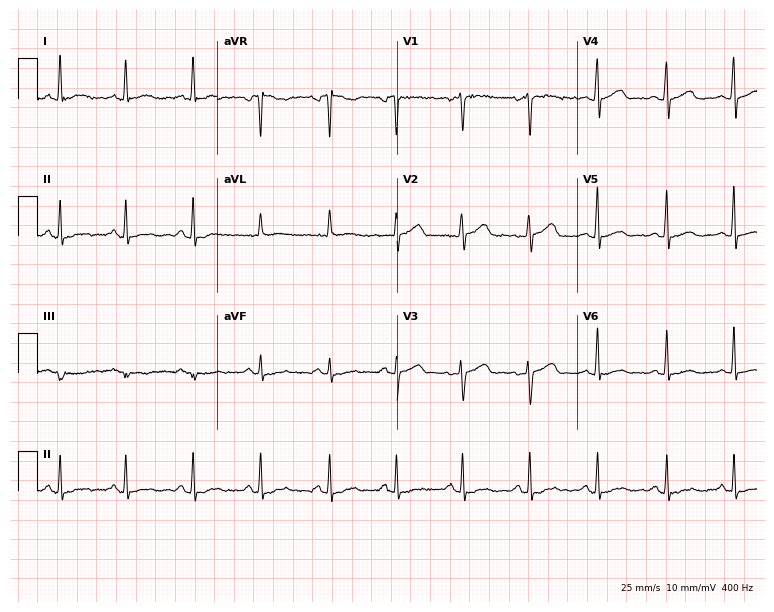
Standard 12-lead ECG recorded from a female, 58 years old. None of these six findings is recorded: first-degree AV block, right bundle branch block (RBBB), left bundle branch block (LBBB), sinus bradycardia, atrial fibrillation (AF), sinus tachycardia.